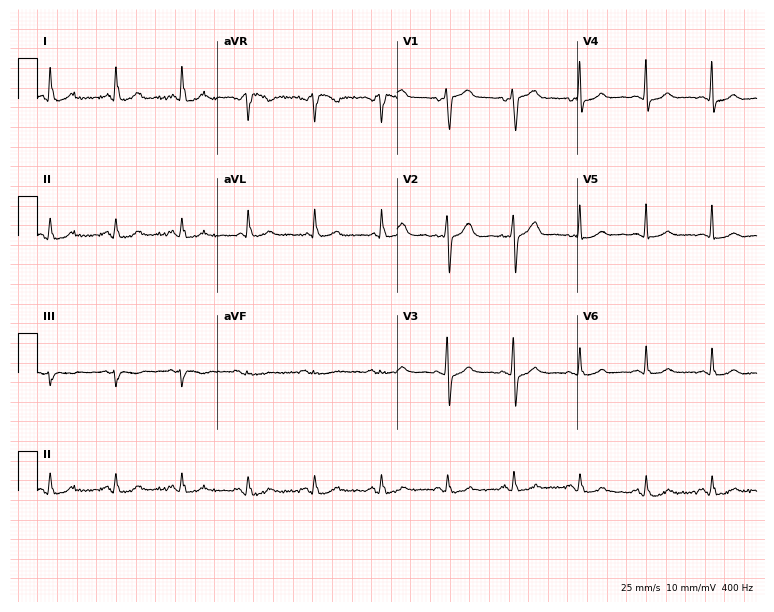
Electrocardiogram (7.3-second recording at 400 Hz), a 44-year-old female patient. Overall reading on record: normal ECG.